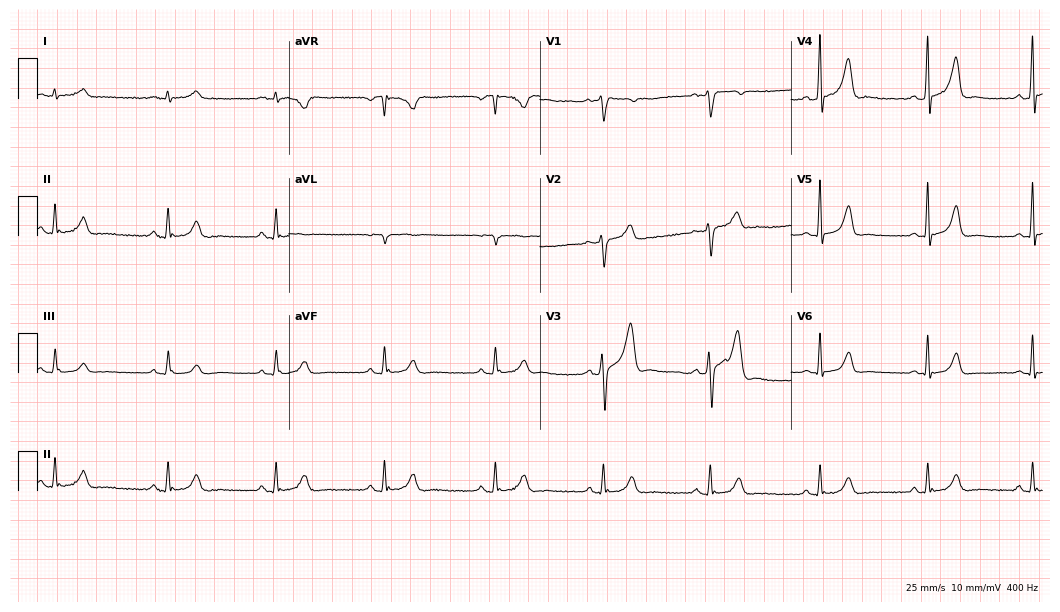
Standard 12-lead ECG recorded from a male, 27 years old. Read as a normal ECG.